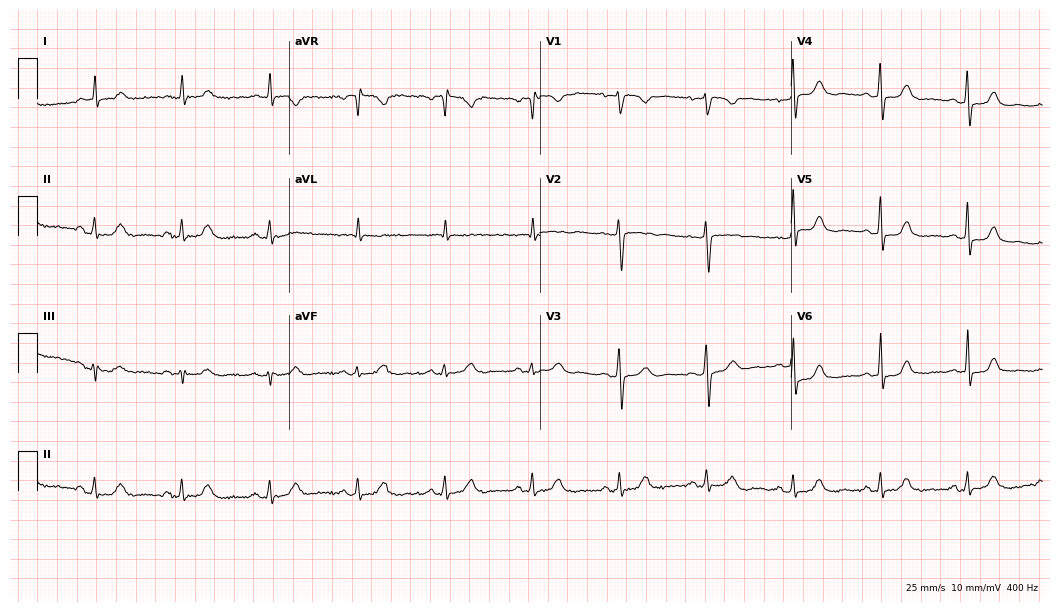
Electrocardiogram (10.2-second recording at 400 Hz), a 55-year-old woman. Of the six screened findings (first-degree AV block, right bundle branch block, left bundle branch block, sinus bradycardia, atrial fibrillation, sinus tachycardia), none is recorded. Only these six findings were labelled.